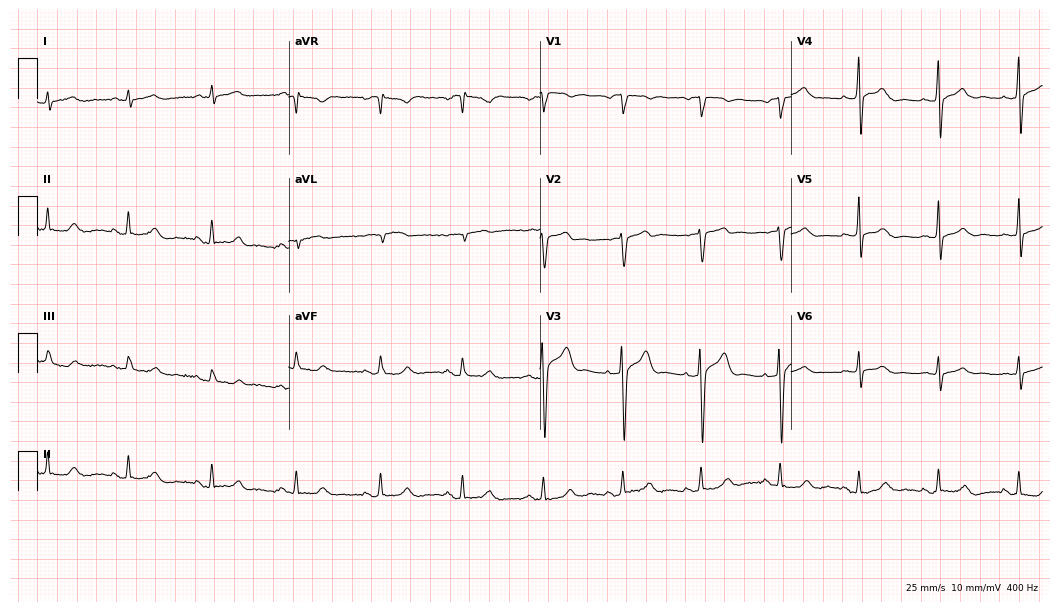
Standard 12-lead ECG recorded from a male, 59 years old (10.2-second recording at 400 Hz). Read as a normal ECG.